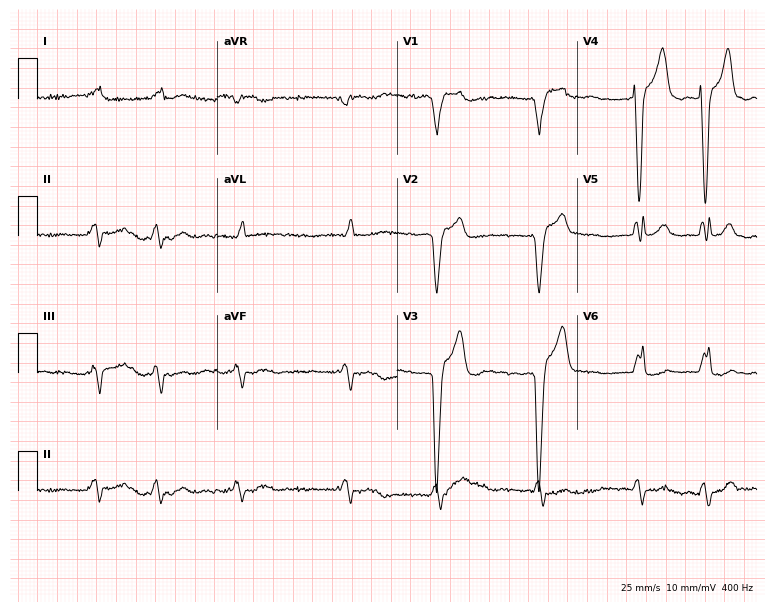
Electrocardiogram (7.3-second recording at 400 Hz), a man, 75 years old. Interpretation includes left bundle branch block, atrial fibrillation.